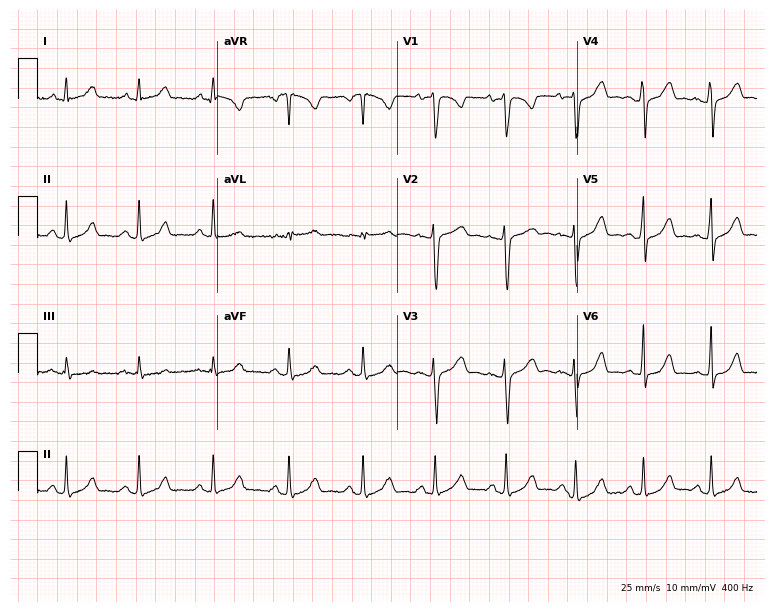
Resting 12-lead electrocardiogram (7.3-second recording at 400 Hz). Patient: a woman, 30 years old. Read as a normal ECG.